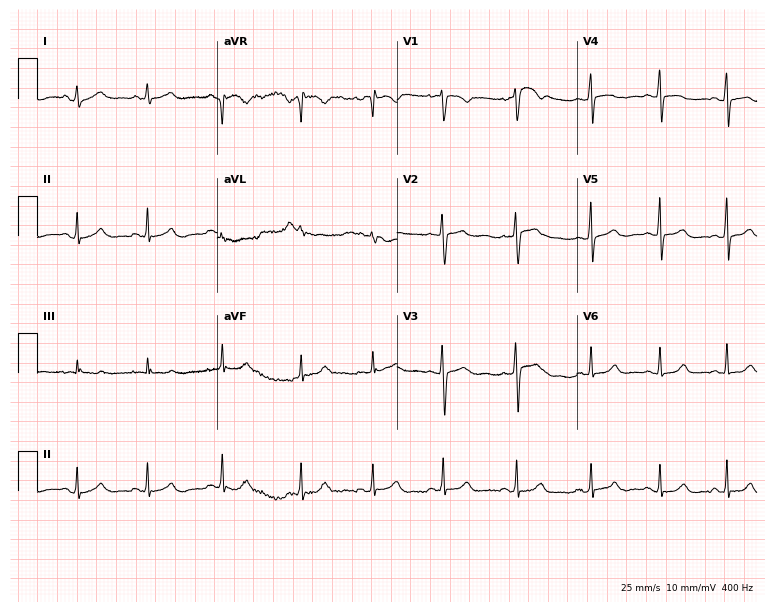
ECG — a female, 17 years old. Screened for six findings — first-degree AV block, right bundle branch block, left bundle branch block, sinus bradycardia, atrial fibrillation, sinus tachycardia — none is recorded. Findings outside these six are not listed.